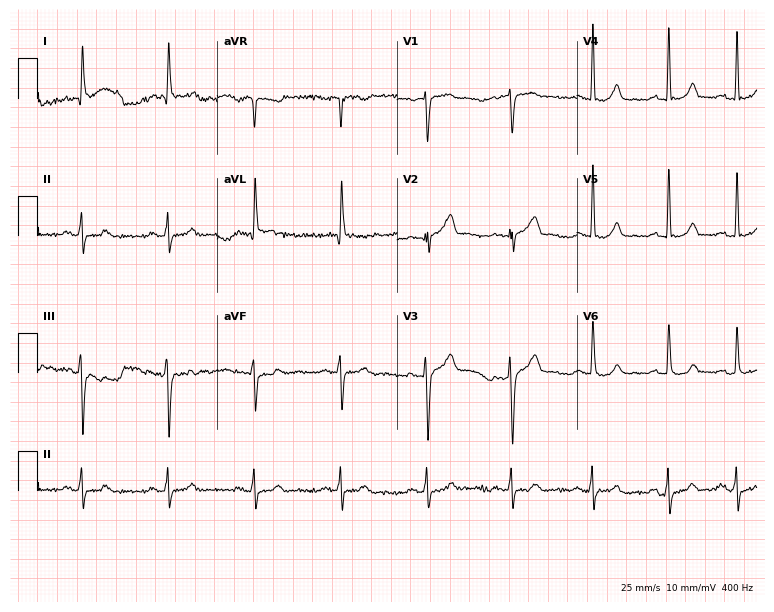
Standard 12-lead ECG recorded from a 64-year-old male (7.3-second recording at 400 Hz). Read as a normal ECG.